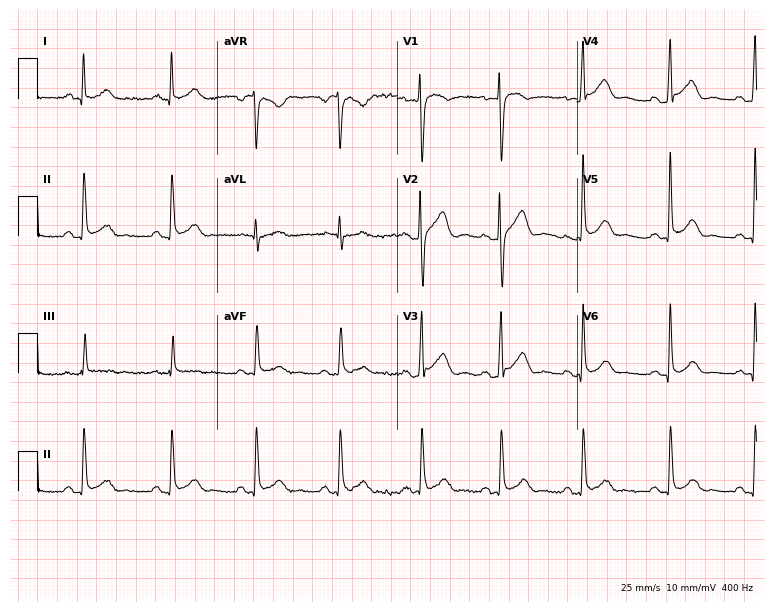
12-lead ECG from a man, 36 years old. Screened for six findings — first-degree AV block, right bundle branch block, left bundle branch block, sinus bradycardia, atrial fibrillation, sinus tachycardia — none is recorded.